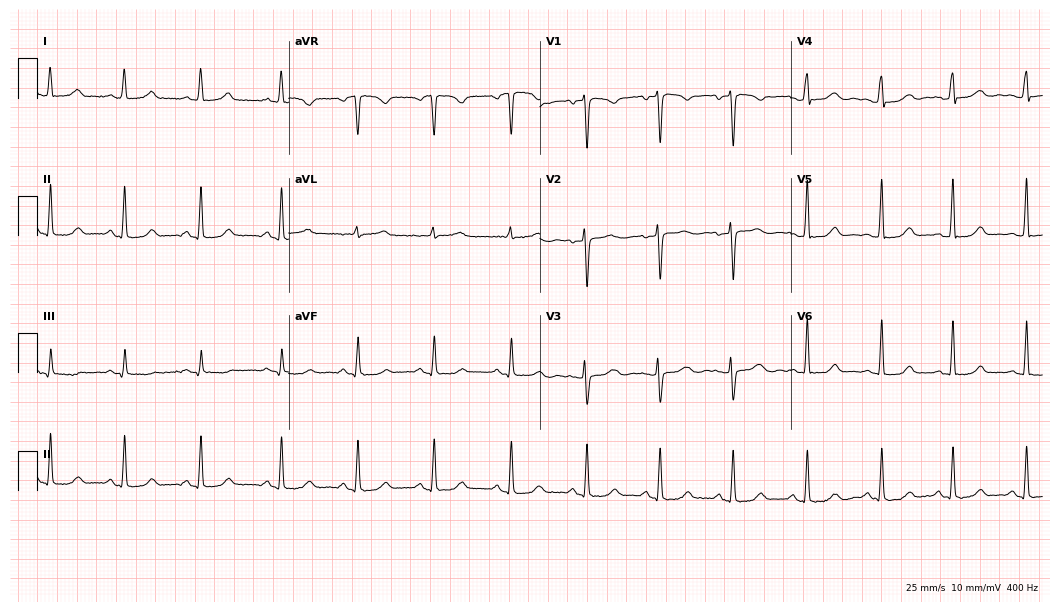
12-lead ECG (10.2-second recording at 400 Hz) from a female, 45 years old. Labelled as a normal ECG.